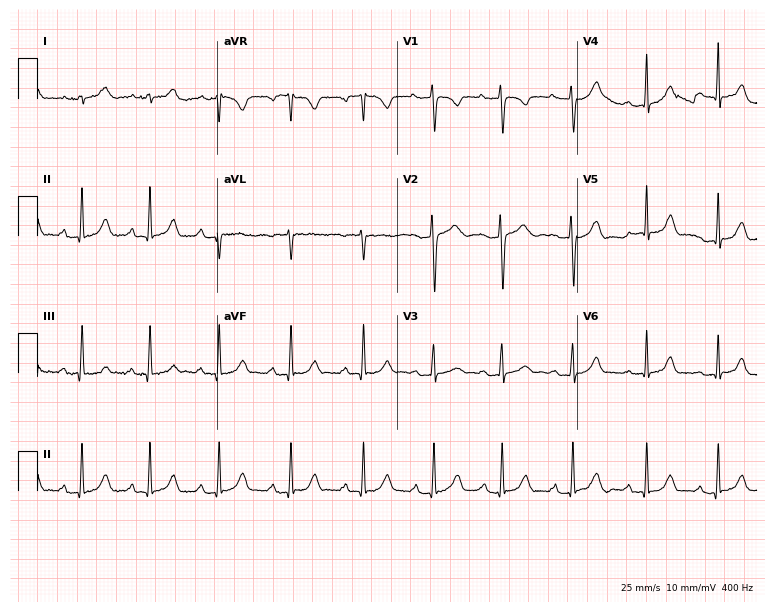
12-lead ECG from a woman, 21 years old. No first-degree AV block, right bundle branch block (RBBB), left bundle branch block (LBBB), sinus bradycardia, atrial fibrillation (AF) or sinus tachycardia recorded for this tracing.